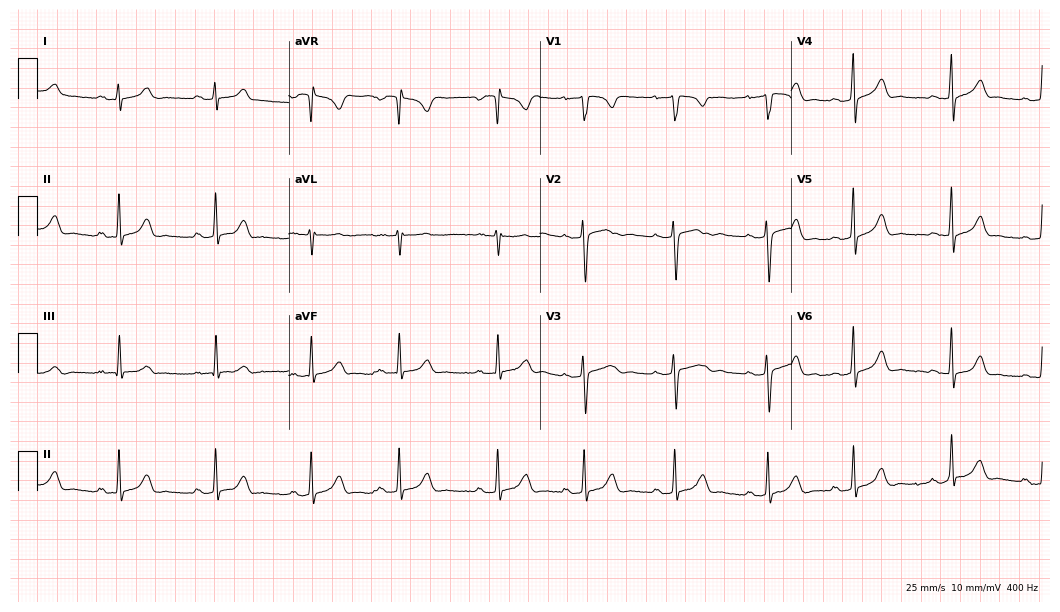
ECG — a 17-year-old woman. Labelled as a normal ECG.